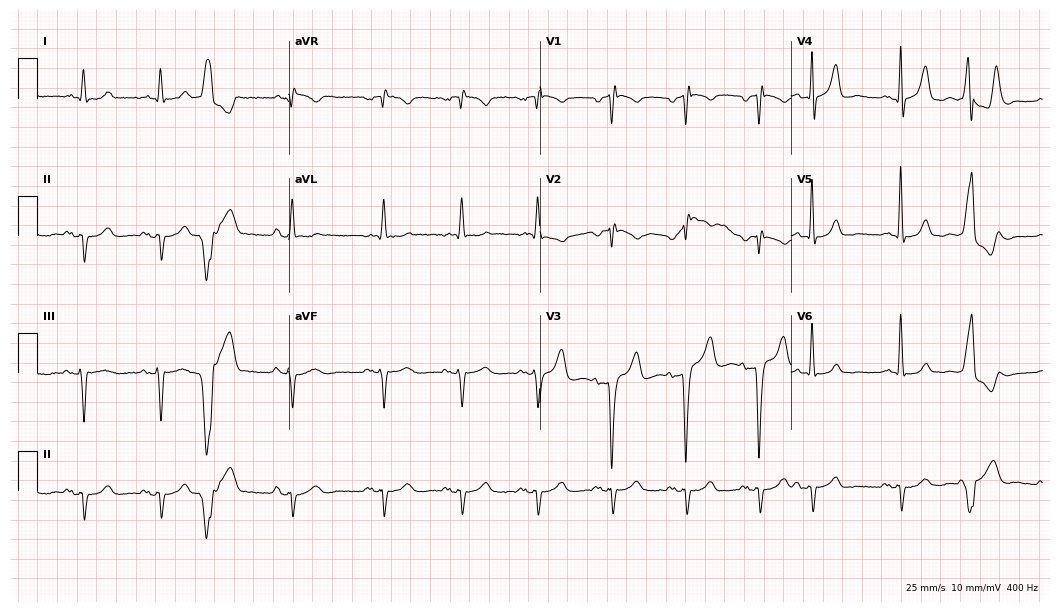
12-lead ECG from a male, 54 years old. Screened for six findings — first-degree AV block, right bundle branch block, left bundle branch block, sinus bradycardia, atrial fibrillation, sinus tachycardia — none is recorded.